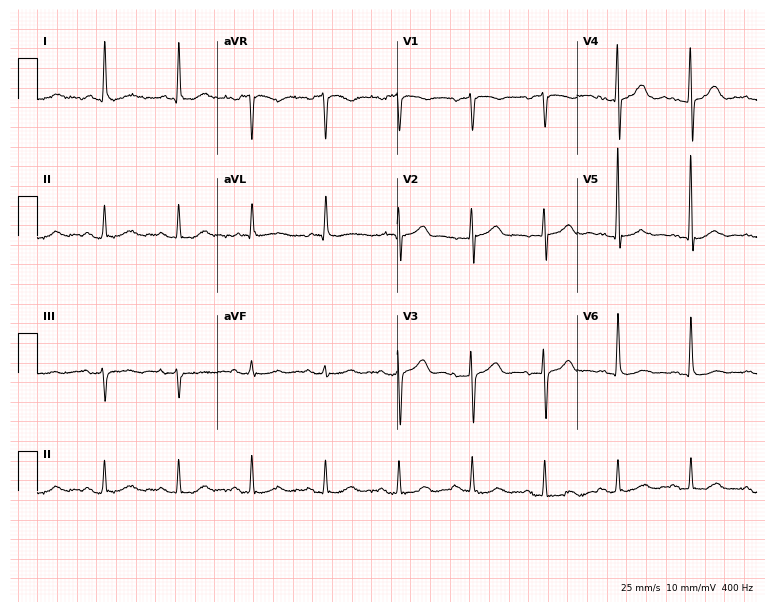
12-lead ECG from an 83-year-old female patient (7.3-second recording at 400 Hz). No first-degree AV block, right bundle branch block, left bundle branch block, sinus bradycardia, atrial fibrillation or sinus tachycardia recorded for this tracing. Other findings, if any, are not listed.